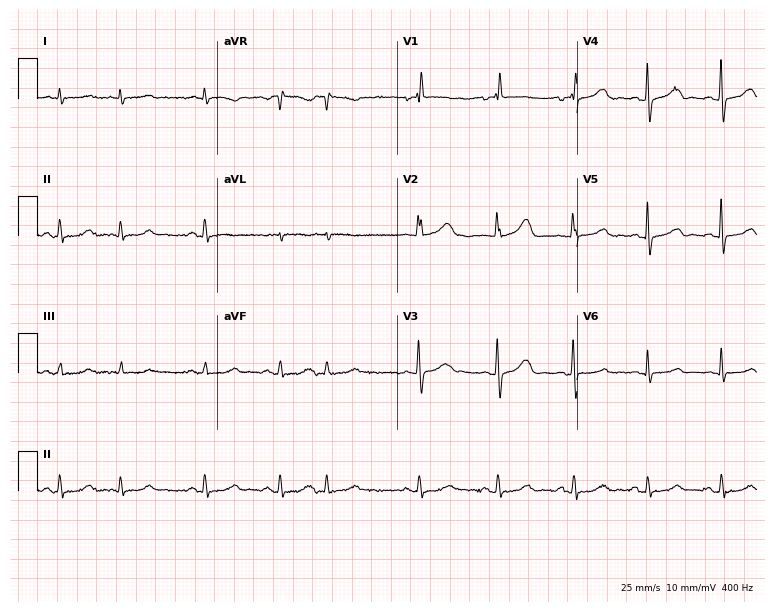
Standard 12-lead ECG recorded from an 84-year-old female patient (7.3-second recording at 400 Hz). None of these six findings is recorded: first-degree AV block, right bundle branch block, left bundle branch block, sinus bradycardia, atrial fibrillation, sinus tachycardia. Findings outside these six are not listed.